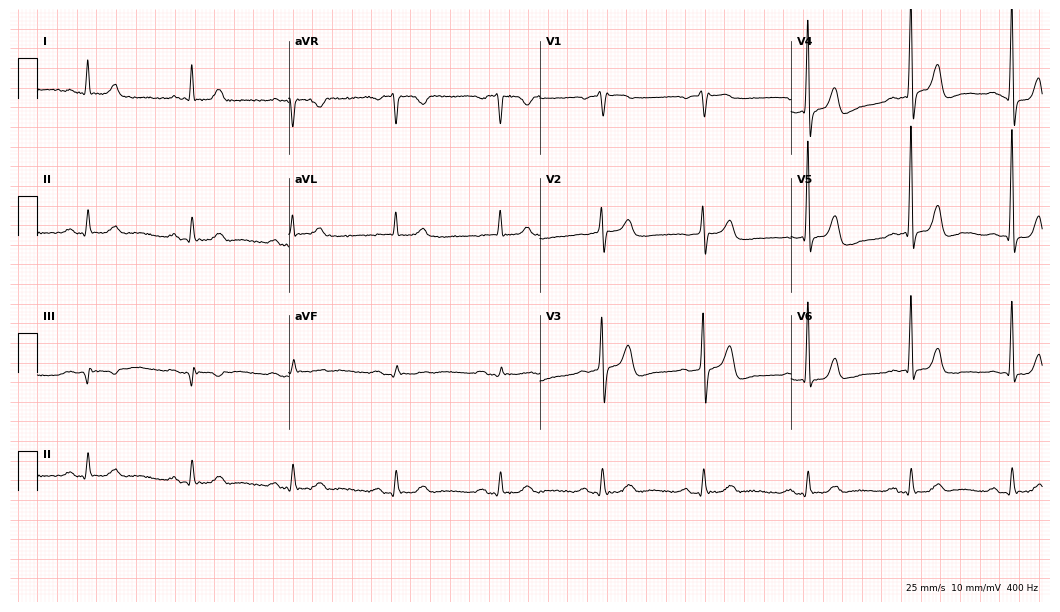
Resting 12-lead electrocardiogram (10.2-second recording at 400 Hz). Patient: a man, 81 years old. None of these six findings is recorded: first-degree AV block, right bundle branch block (RBBB), left bundle branch block (LBBB), sinus bradycardia, atrial fibrillation (AF), sinus tachycardia. Other findings, if any, are not listed.